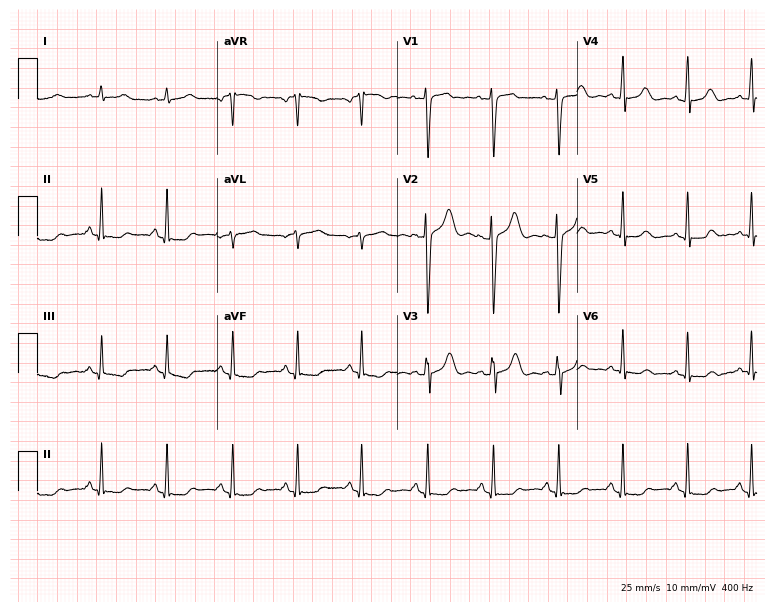
ECG (7.3-second recording at 400 Hz) — a female, 46 years old. Screened for six findings — first-degree AV block, right bundle branch block, left bundle branch block, sinus bradycardia, atrial fibrillation, sinus tachycardia — none is recorded.